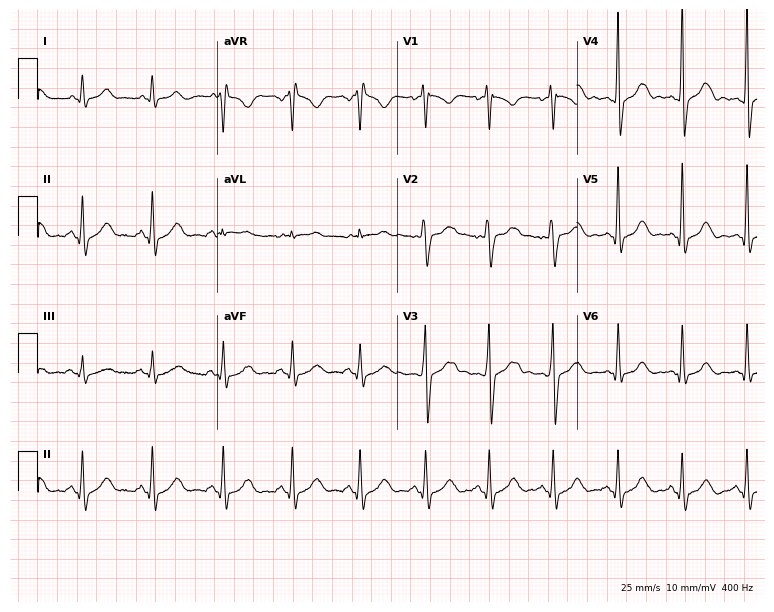
Resting 12-lead electrocardiogram (7.3-second recording at 400 Hz). Patient: a male, 36 years old. None of these six findings is recorded: first-degree AV block, right bundle branch block, left bundle branch block, sinus bradycardia, atrial fibrillation, sinus tachycardia. Only these six findings were labelled.